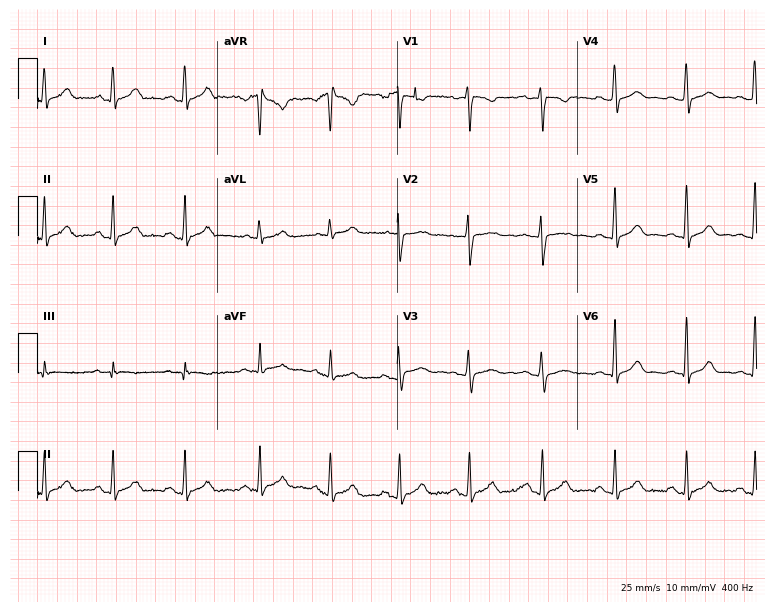
12-lead ECG (7.3-second recording at 400 Hz) from an 18-year-old woman. Labelled as a normal ECG.